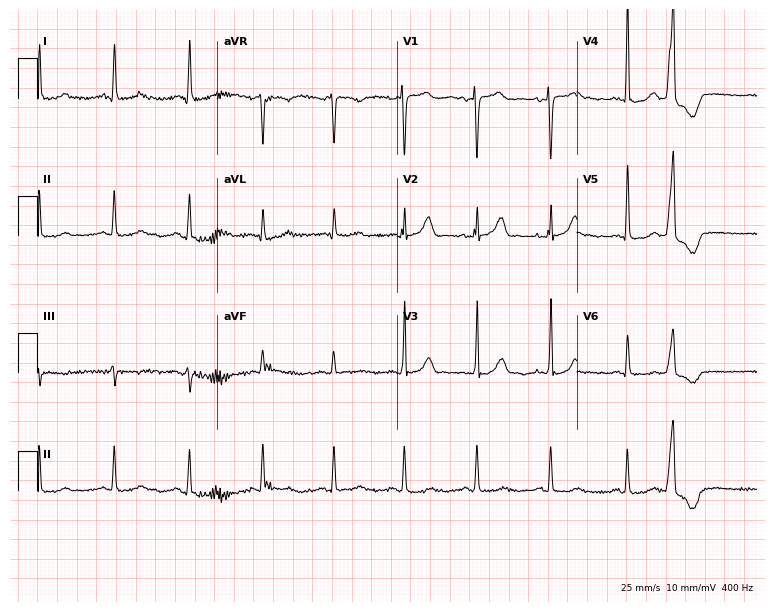
Electrocardiogram (7.3-second recording at 400 Hz), a woman, 72 years old. Of the six screened findings (first-degree AV block, right bundle branch block, left bundle branch block, sinus bradycardia, atrial fibrillation, sinus tachycardia), none is recorded.